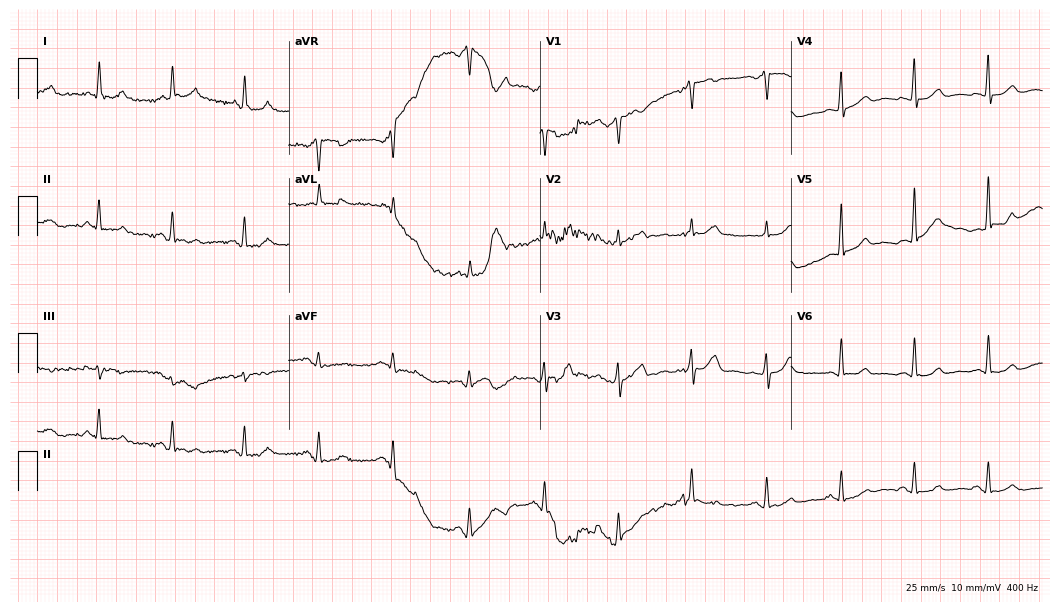
12-lead ECG (10.2-second recording at 400 Hz) from a female, 45 years old. Labelled as a normal ECG.